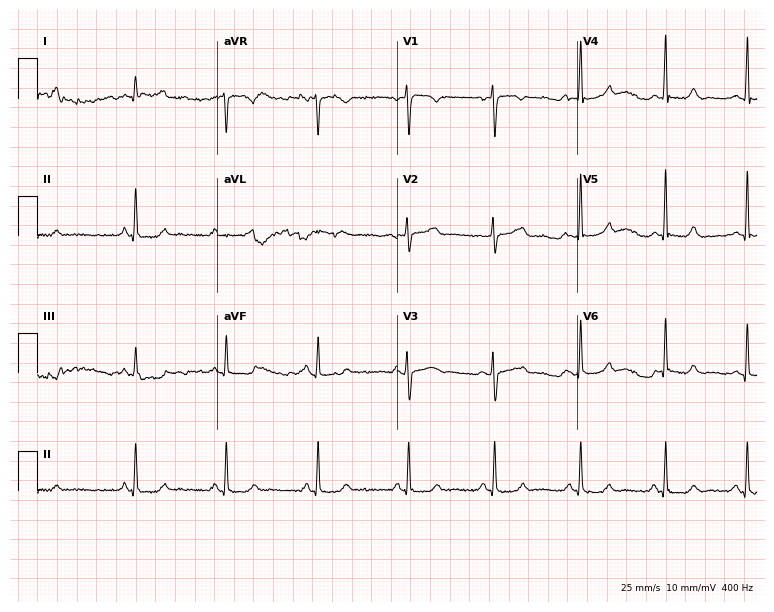
Electrocardiogram, a 37-year-old female patient. Of the six screened findings (first-degree AV block, right bundle branch block, left bundle branch block, sinus bradycardia, atrial fibrillation, sinus tachycardia), none is recorded.